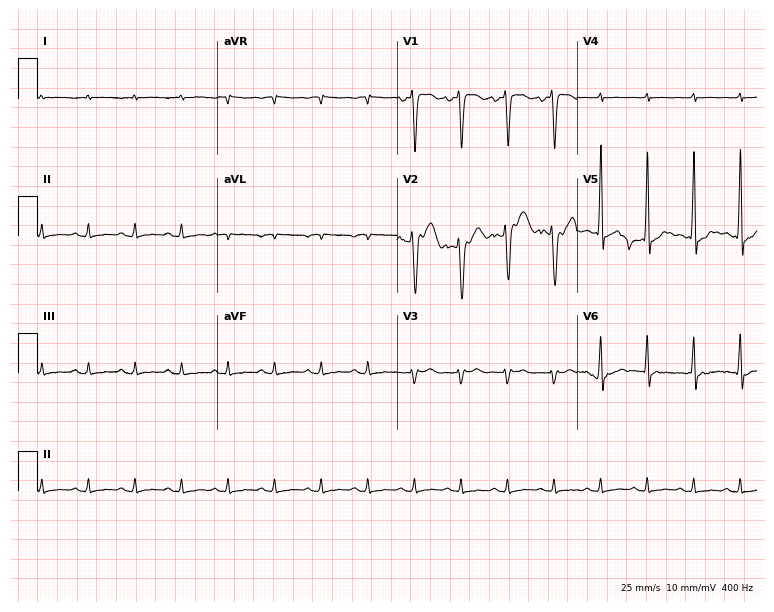
12-lead ECG (7.3-second recording at 400 Hz) from a 41-year-old man. Screened for six findings — first-degree AV block, right bundle branch block, left bundle branch block, sinus bradycardia, atrial fibrillation, sinus tachycardia — none is recorded.